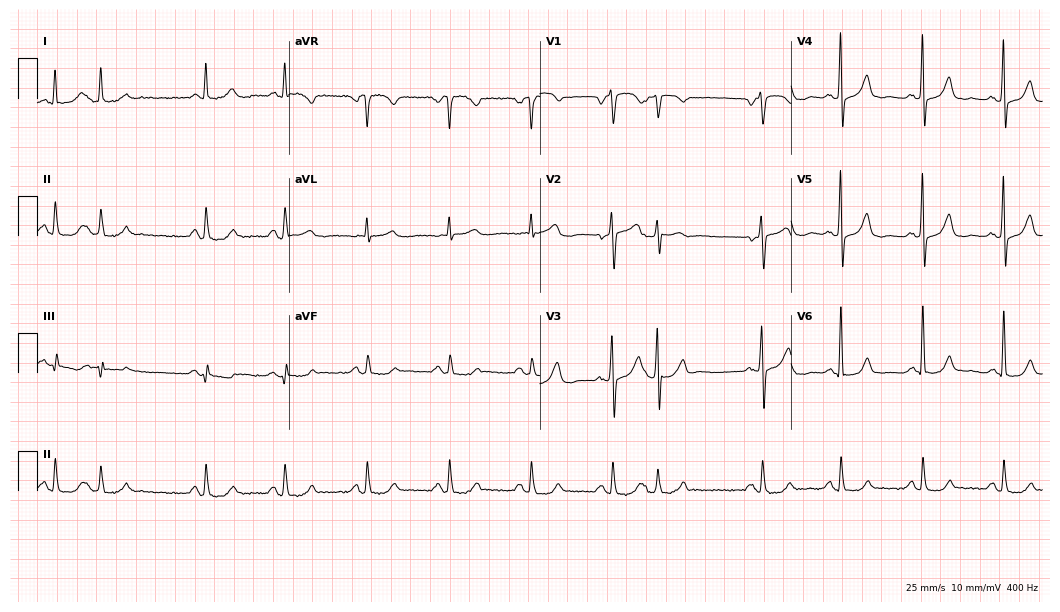
ECG (10.2-second recording at 400 Hz) — a male, 79 years old. Screened for six findings — first-degree AV block, right bundle branch block, left bundle branch block, sinus bradycardia, atrial fibrillation, sinus tachycardia — none is recorded. Other findings, if any, are not listed.